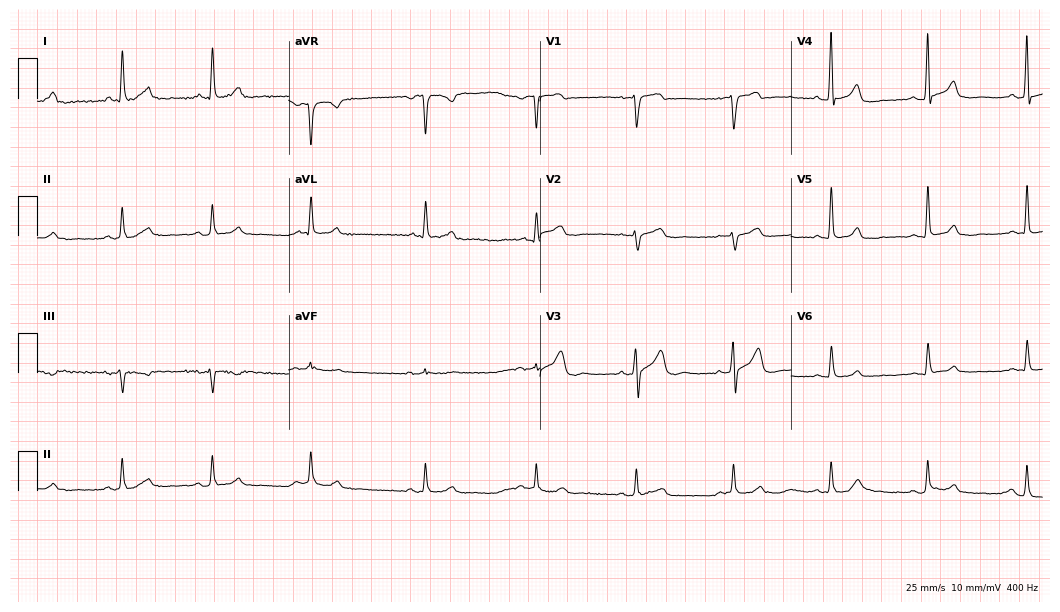
Standard 12-lead ECG recorded from a male patient, 45 years old. Read as a normal ECG.